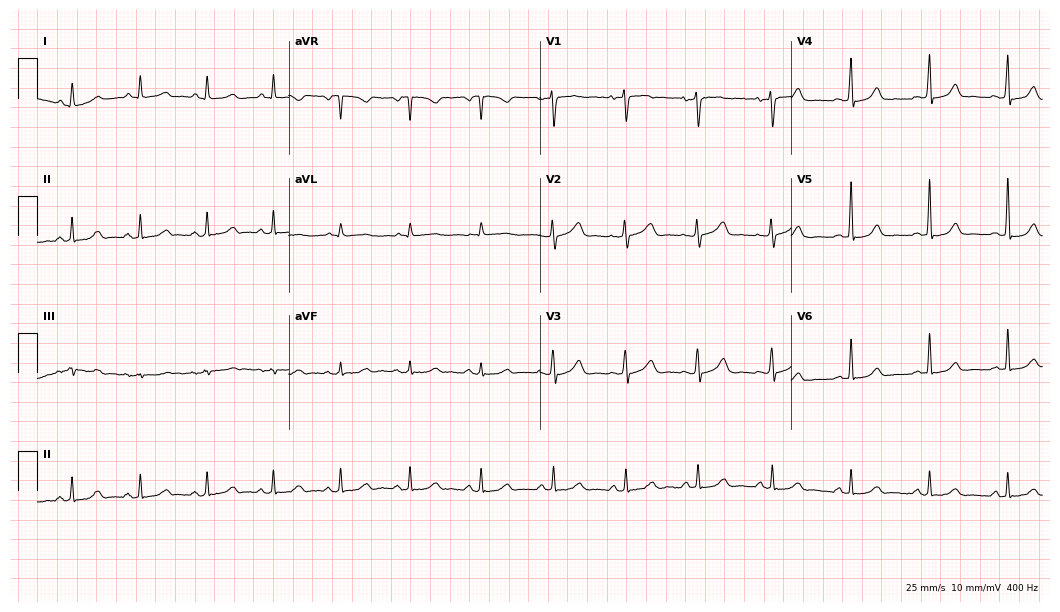
ECG — a 52-year-old woman. Labelled as a normal ECG.